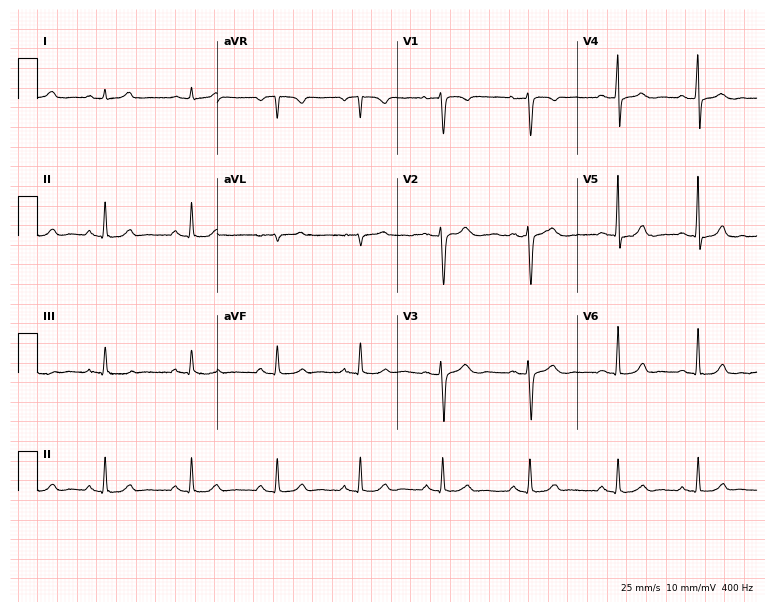
12-lead ECG from a female patient, 33 years old. Recorded interpretation: within normal limits.